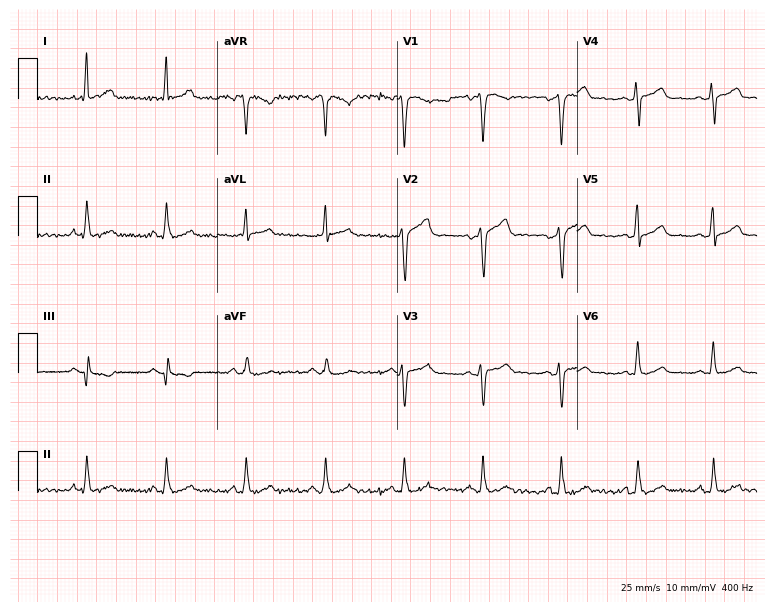
Standard 12-lead ECG recorded from a 36-year-old male patient (7.3-second recording at 400 Hz). Read as a normal ECG.